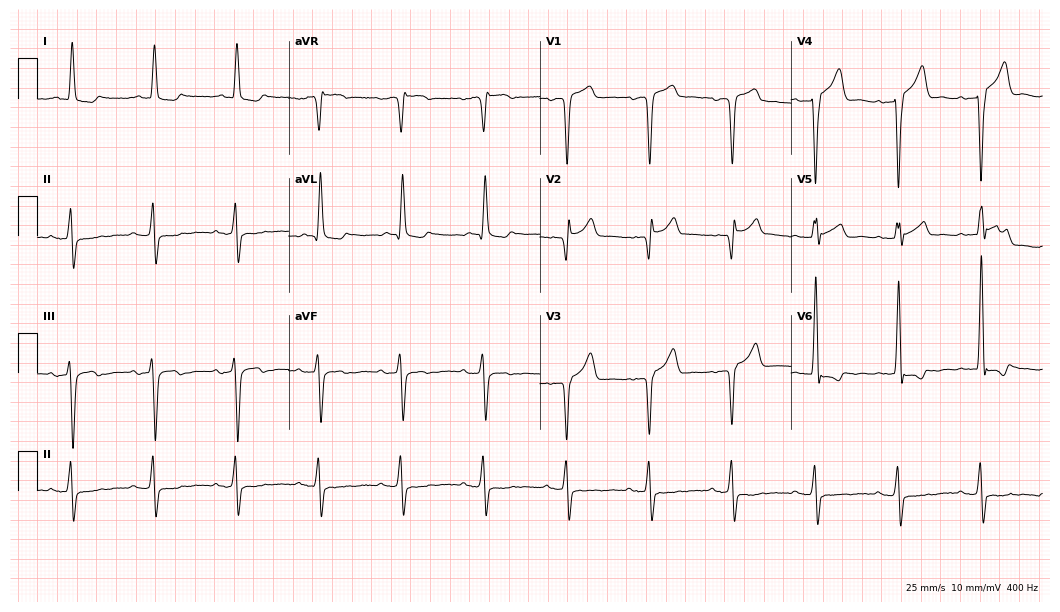
12-lead ECG from a man, 78 years old (10.2-second recording at 400 Hz). No first-degree AV block, right bundle branch block, left bundle branch block, sinus bradycardia, atrial fibrillation or sinus tachycardia recorded for this tracing.